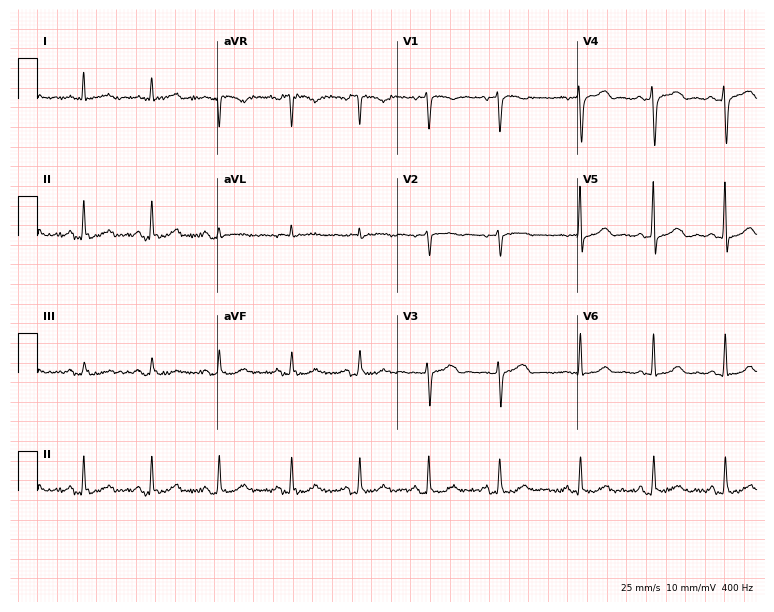
Electrocardiogram (7.3-second recording at 400 Hz), a 55-year-old woman. Overall reading on record: normal ECG.